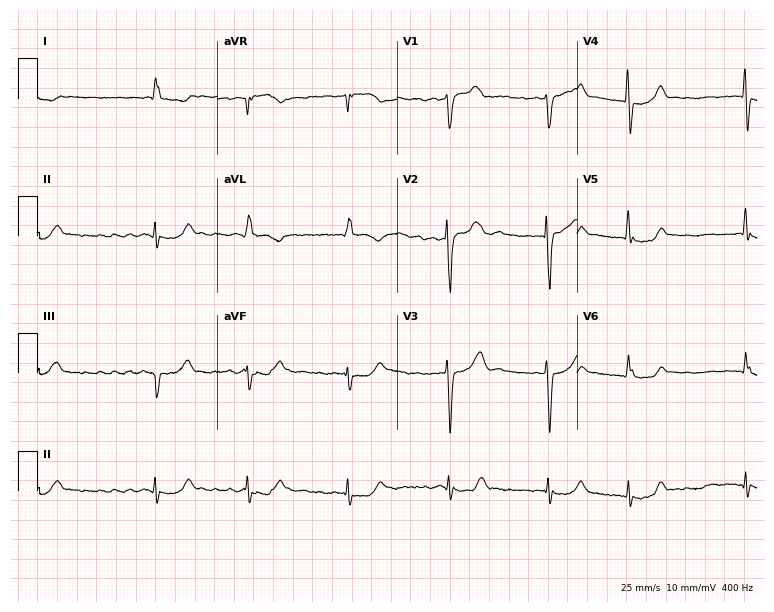
12-lead ECG from a 77-year-old male patient. Shows atrial fibrillation.